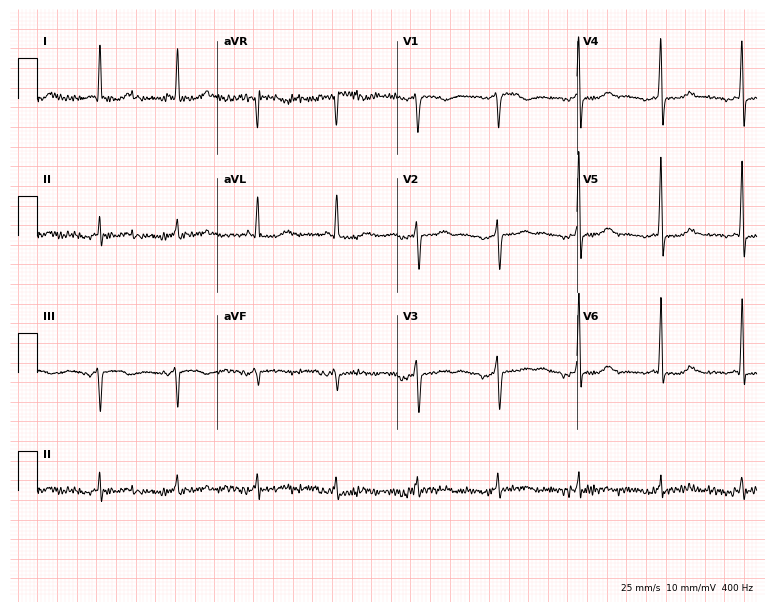
12-lead ECG (7.3-second recording at 400 Hz) from a 70-year-old male patient. Screened for six findings — first-degree AV block, right bundle branch block (RBBB), left bundle branch block (LBBB), sinus bradycardia, atrial fibrillation (AF), sinus tachycardia — none is recorded.